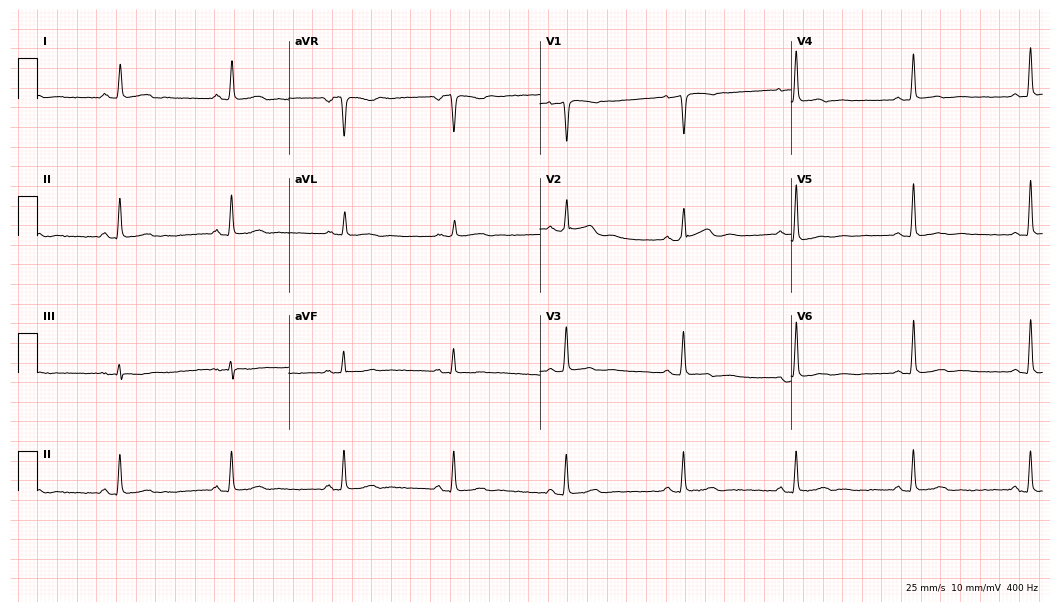
ECG — a 40-year-old female. Screened for six findings — first-degree AV block, right bundle branch block, left bundle branch block, sinus bradycardia, atrial fibrillation, sinus tachycardia — none is recorded. Only these six findings were labelled.